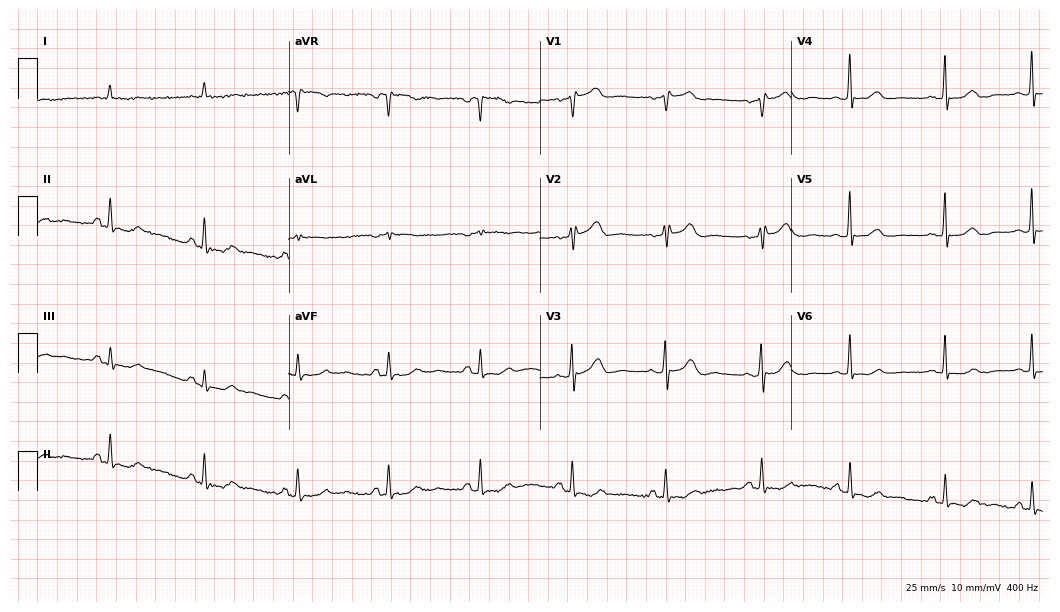
Resting 12-lead electrocardiogram (10.2-second recording at 400 Hz). Patient: a 77-year-old female. None of these six findings is recorded: first-degree AV block, right bundle branch block, left bundle branch block, sinus bradycardia, atrial fibrillation, sinus tachycardia. Only these six findings were labelled.